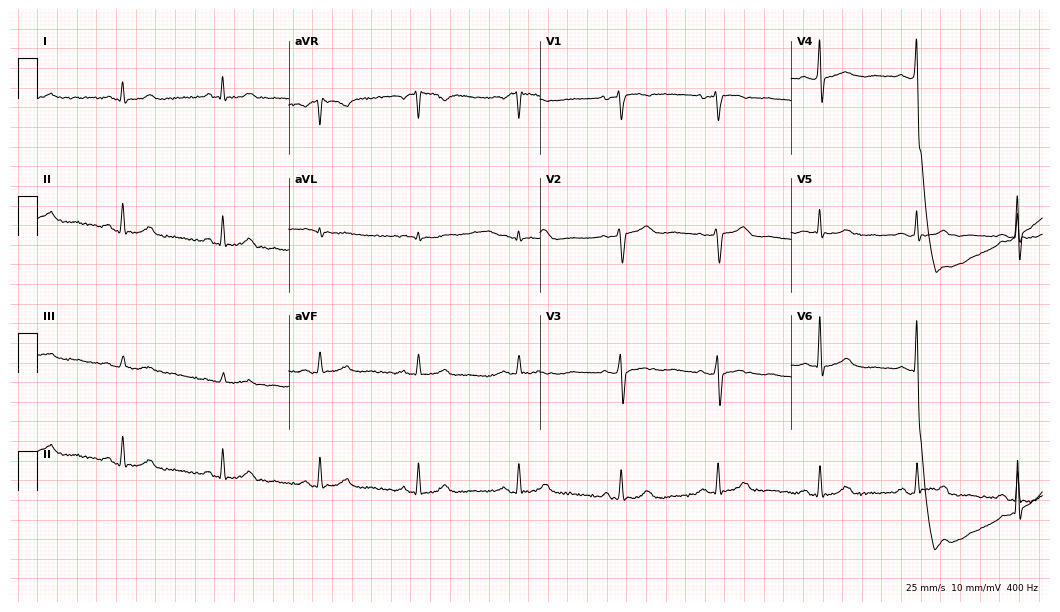
Resting 12-lead electrocardiogram (10.2-second recording at 400 Hz). Patient: a 58-year-old woman. Read as a normal ECG.